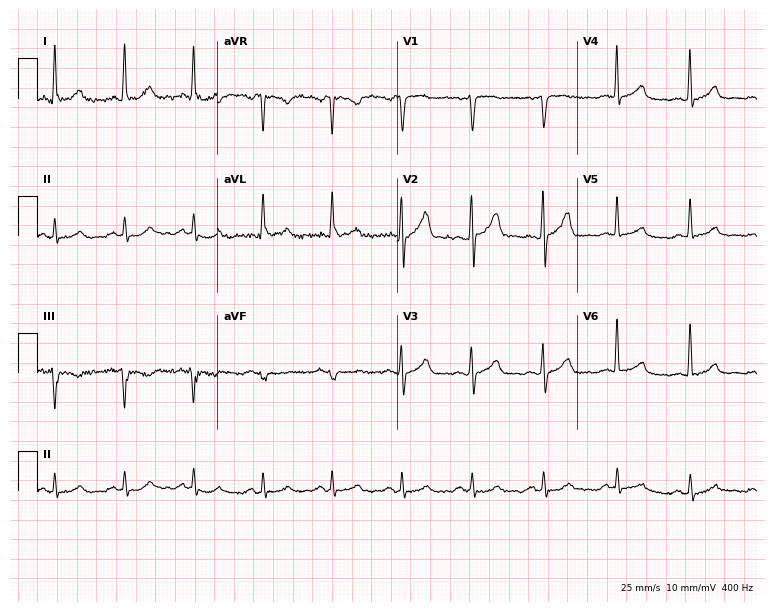
Standard 12-lead ECG recorded from a 59-year-old male patient. Read as a normal ECG.